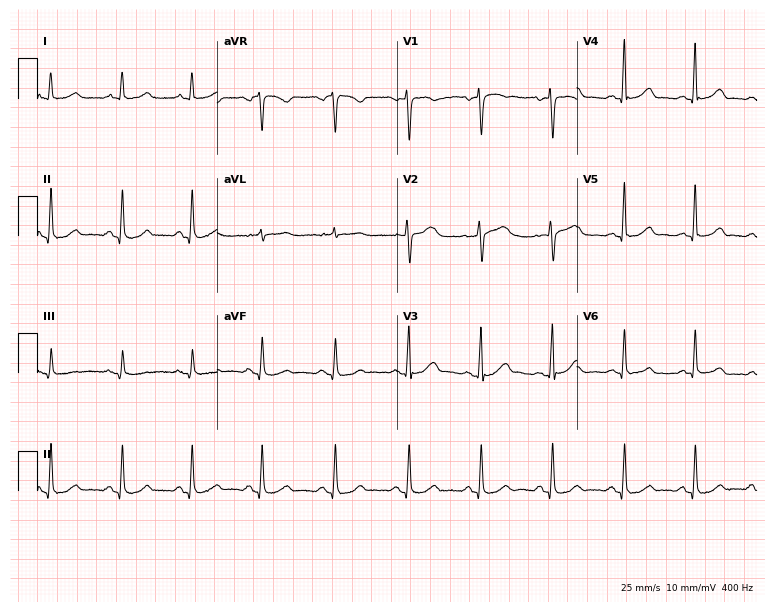
Electrocardiogram (7.3-second recording at 400 Hz), a 45-year-old woman. Overall reading on record: normal ECG.